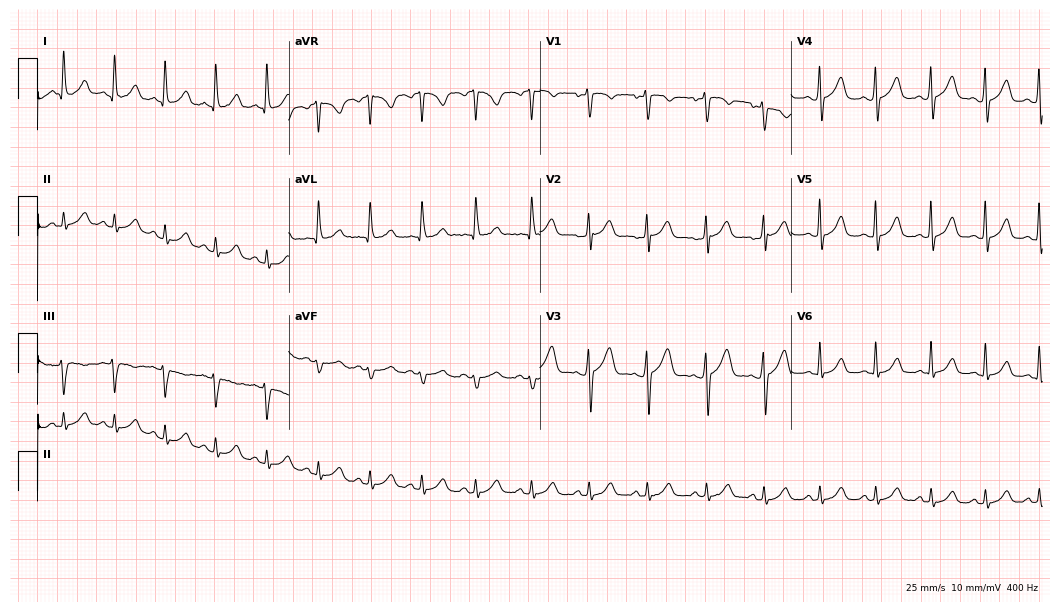
12-lead ECG from a woman, 35 years old. Findings include sinus tachycardia (a sinus rate of 100 beats per minute or more).